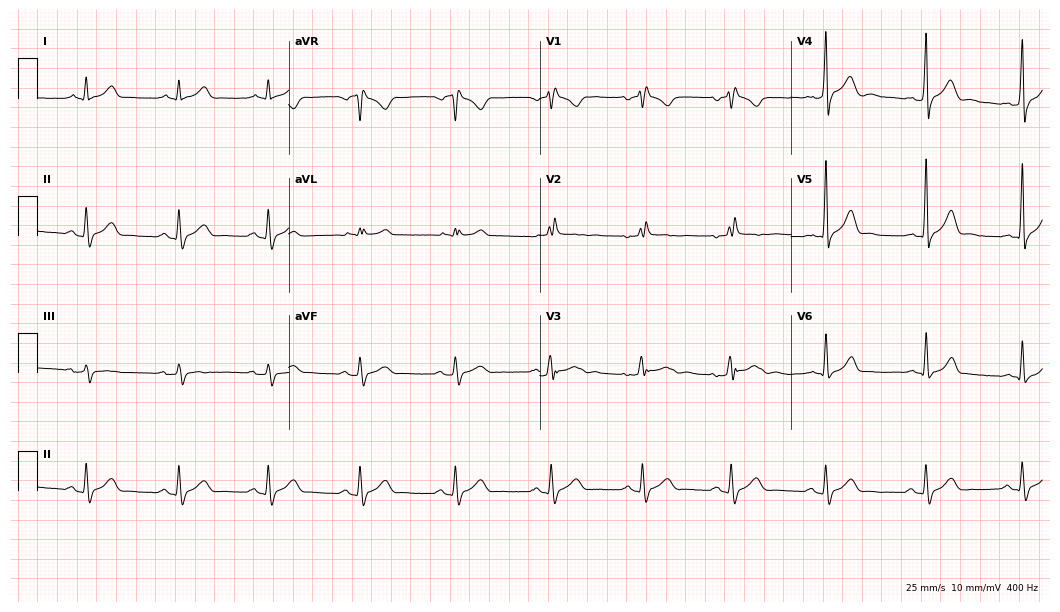
12-lead ECG from a male, 28 years old (10.2-second recording at 400 Hz). Shows right bundle branch block.